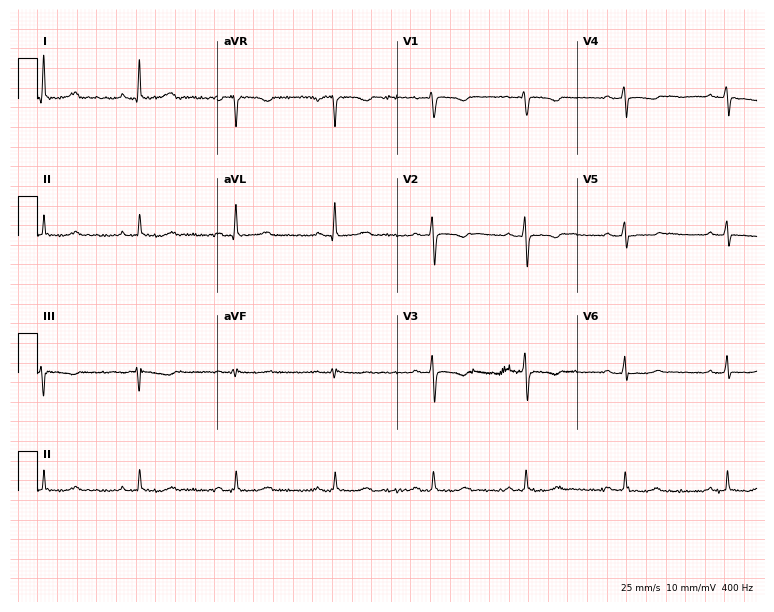
12-lead ECG (7.3-second recording at 400 Hz) from a 47-year-old female. Screened for six findings — first-degree AV block, right bundle branch block (RBBB), left bundle branch block (LBBB), sinus bradycardia, atrial fibrillation (AF), sinus tachycardia — none is recorded.